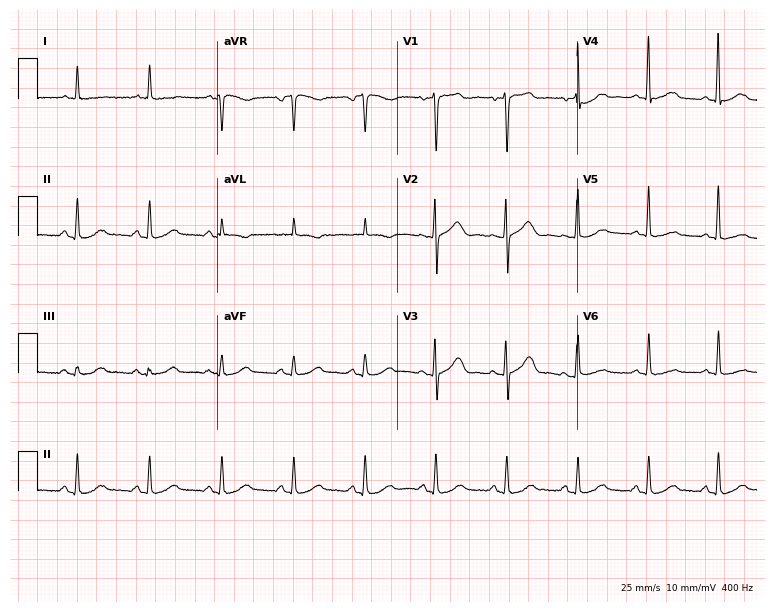
12-lead ECG (7.3-second recording at 400 Hz) from a 73-year-old woman. Screened for six findings — first-degree AV block, right bundle branch block (RBBB), left bundle branch block (LBBB), sinus bradycardia, atrial fibrillation (AF), sinus tachycardia — none is recorded. Other findings, if any, are not listed.